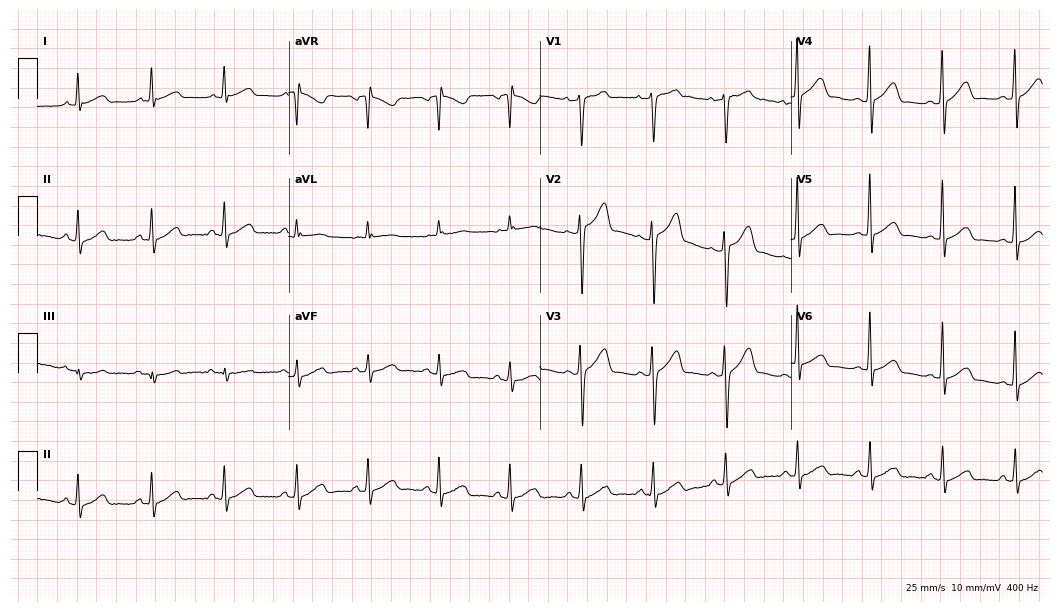
12-lead ECG from a 47-year-old male patient. Screened for six findings — first-degree AV block, right bundle branch block (RBBB), left bundle branch block (LBBB), sinus bradycardia, atrial fibrillation (AF), sinus tachycardia — none is recorded. Only these six findings were labelled.